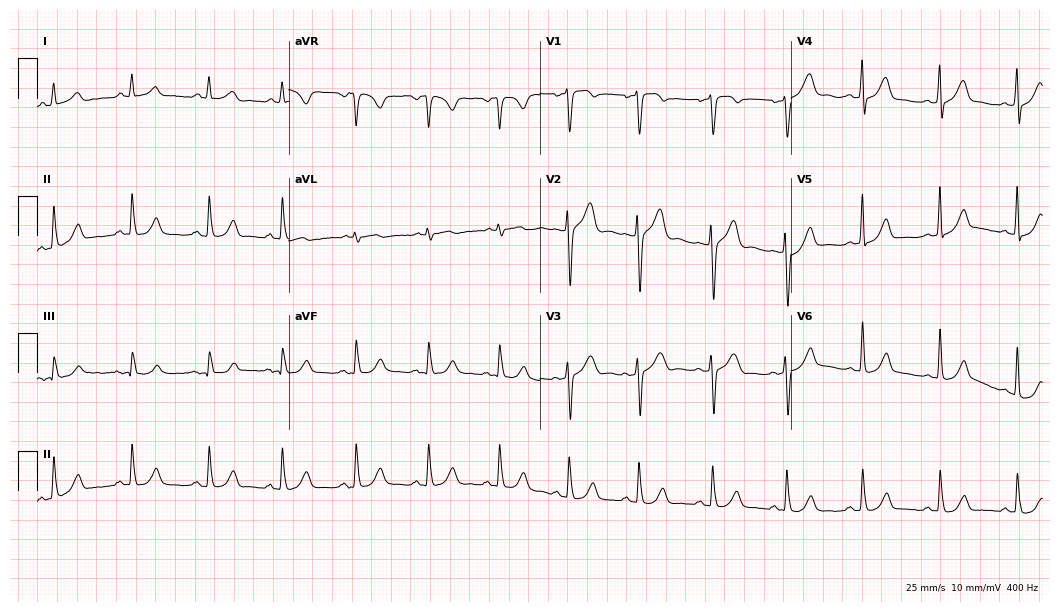
12-lead ECG (10.2-second recording at 400 Hz) from a 43-year-old male. Screened for six findings — first-degree AV block, right bundle branch block, left bundle branch block, sinus bradycardia, atrial fibrillation, sinus tachycardia — none is recorded. Only these six findings were labelled.